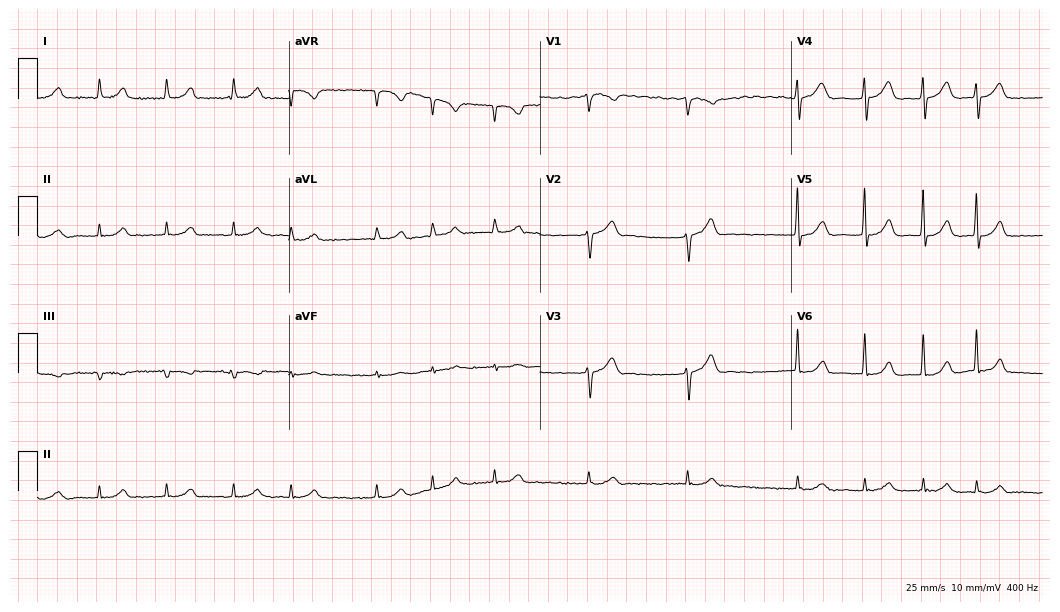
Standard 12-lead ECG recorded from an 81-year-old female patient (10.2-second recording at 400 Hz). None of these six findings is recorded: first-degree AV block, right bundle branch block, left bundle branch block, sinus bradycardia, atrial fibrillation, sinus tachycardia.